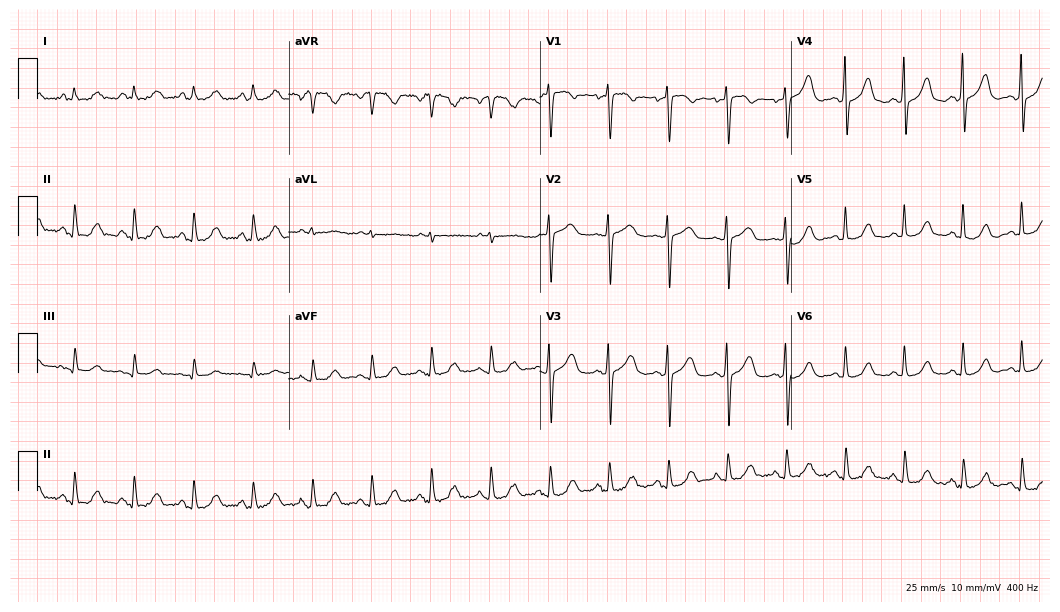
Electrocardiogram, a female patient, 69 years old. Of the six screened findings (first-degree AV block, right bundle branch block, left bundle branch block, sinus bradycardia, atrial fibrillation, sinus tachycardia), none is recorded.